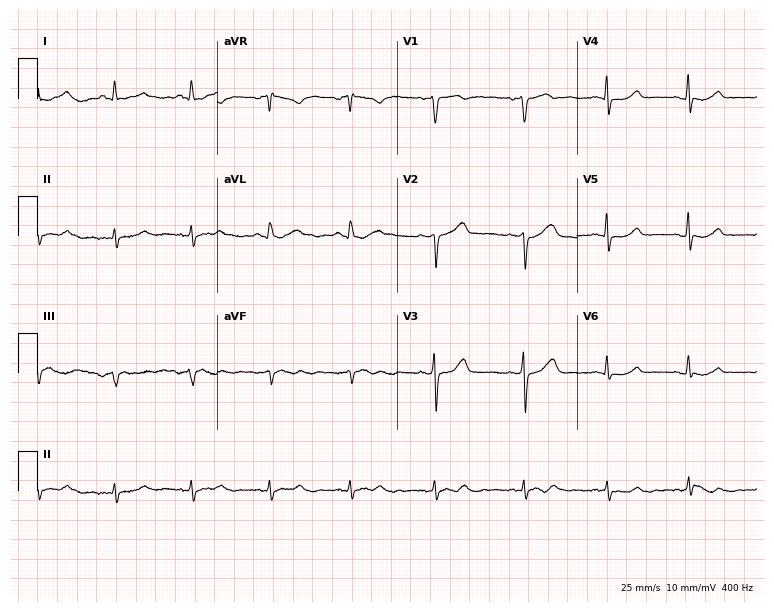
Electrocardiogram, a female, 61 years old. Of the six screened findings (first-degree AV block, right bundle branch block (RBBB), left bundle branch block (LBBB), sinus bradycardia, atrial fibrillation (AF), sinus tachycardia), none is recorded.